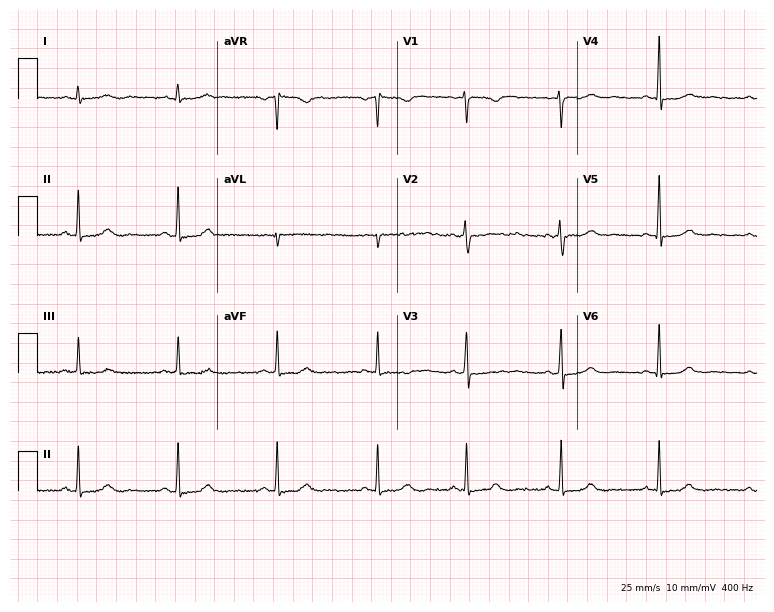
Resting 12-lead electrocardiogram (7.3-second recording at 400 Hz). Patient: a 33-year-old female. None of these six findings is recorded: first-degree AV block, right bundle branch block, left bundle branch block, sinus bradycardia, atrial fibrillation, sinus tachycardia.